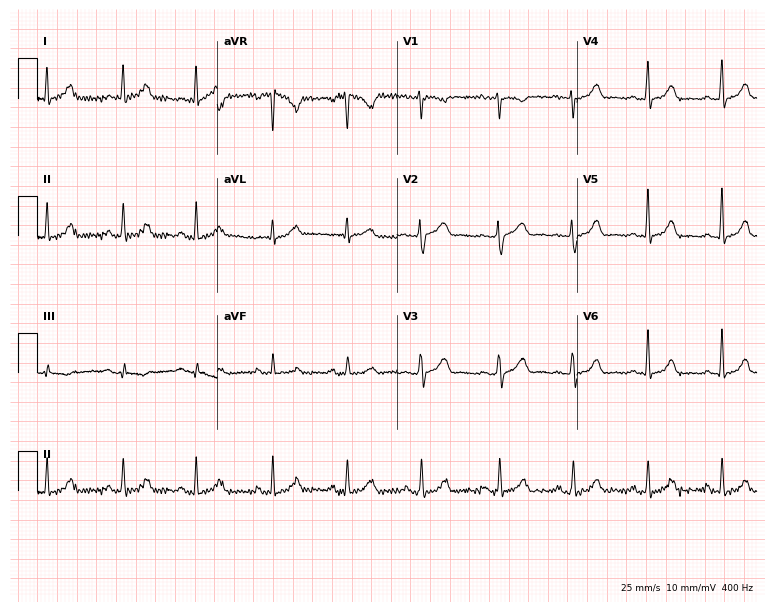
12-lead ECG (7.3-second recording at 400 Hz) from a female, 39 years old. Screened for six findings — first-degree AV block, right bundle branch block, left bundle branch block, sinus bradycardia, atrial fibrillation, sinus tachycardia — none is recorded. Other findings, if any, are not listed.